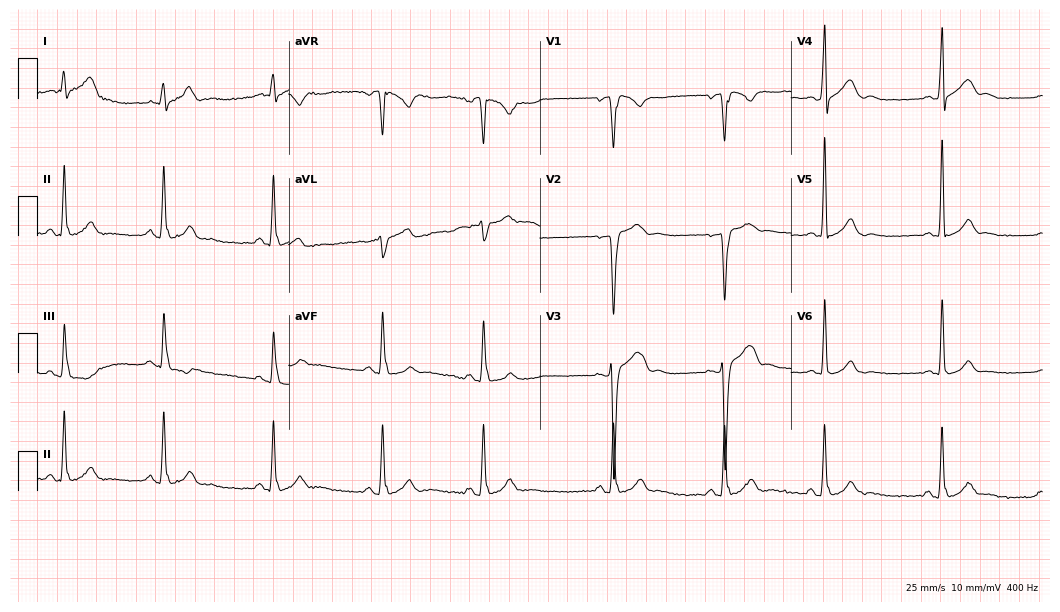
12-lead ECG from an 18-year-old man (10.2-second recording at 400 Hz). No first-degree AV block, right bundle branch block (RBBB), left bundle branch block (LBBB), sinus bradycardia, atrial fibrillation (AF) or sinus tachycardia recorded for this tracing.